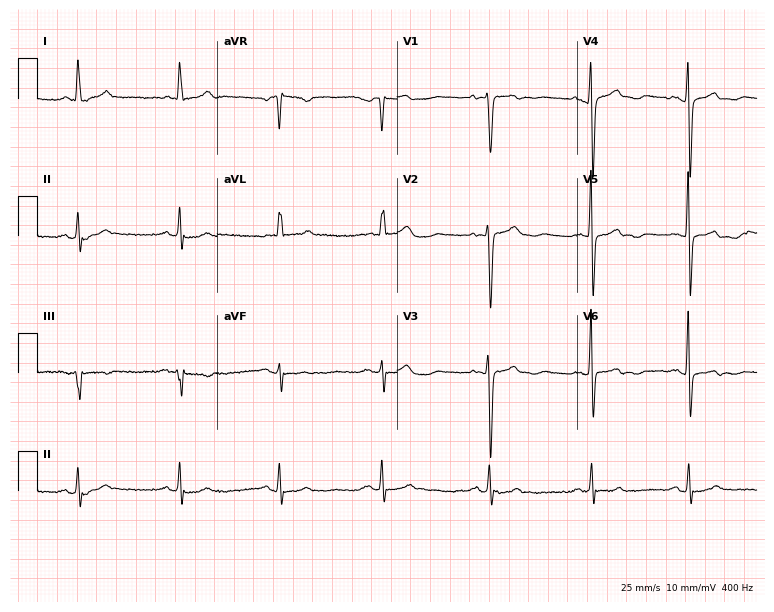
12-lead ECG from a female patient, 67 years old. Screened for six findings — first-degree AV block, right bundle branch block, left bundle branch block, sinus bradycardia, atrial fibrillation, sinus tachycardia — none is recorded. Findings outside these six are not listed.